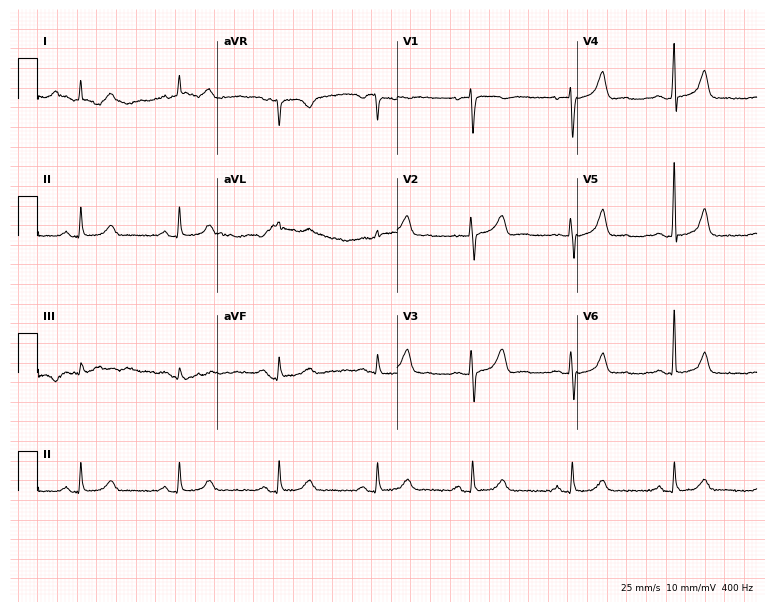
Resting 12-lead electrocardiogram. Patient: a male, 66 years old. None of these six findings is recorded: first-degree AV block, right bundle branch block, left bundle branch block, sinus bradycardia, atrial fibrillation, sinus tachycardia.